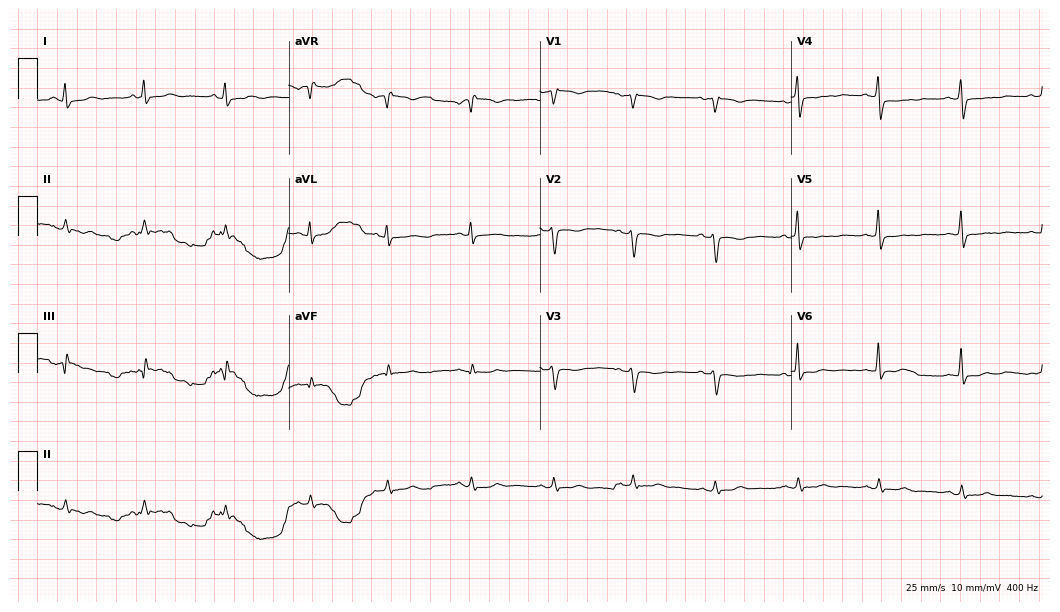
Electrocardiogram, a female, 41 years old. Of the six screened findings (first-degree AV block, right bundle branch block, left bundle branch block, sinus bradycardia, atrial fibrillation, sinus tachycardia), none is recorded. Only these six findings were labelled.